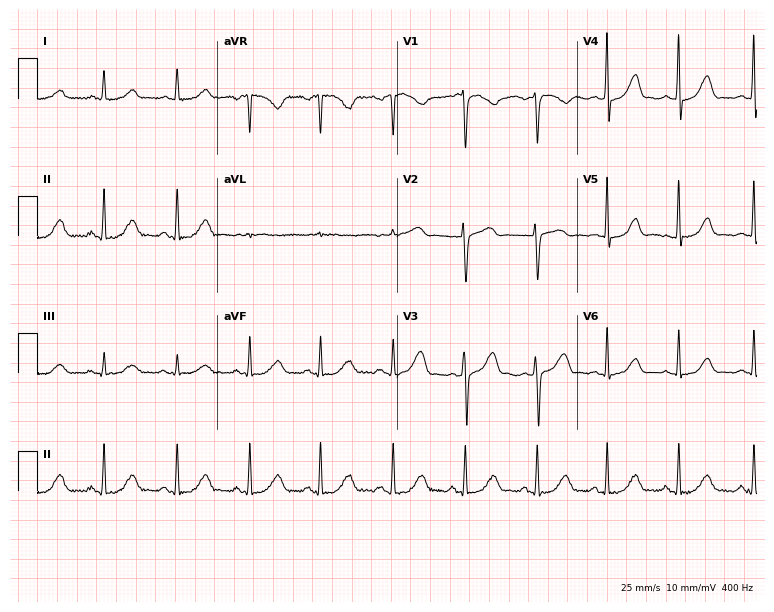
ECG — a female patient, 43 years old. Labelled as a normal ECG.